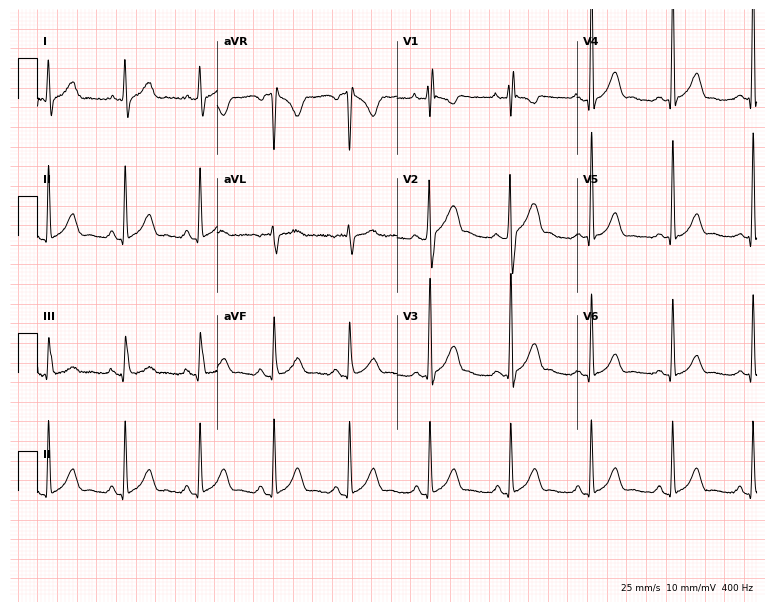
12-lead ECG (7.3-second recording at 400 Hz) from a man, 32 years old. Screened for six findings — first-degree AV block, right bundle branch block, left bundle branch block, sinus bradycardia, atrial fibrillation, sinus tachycardia — none is recorded.